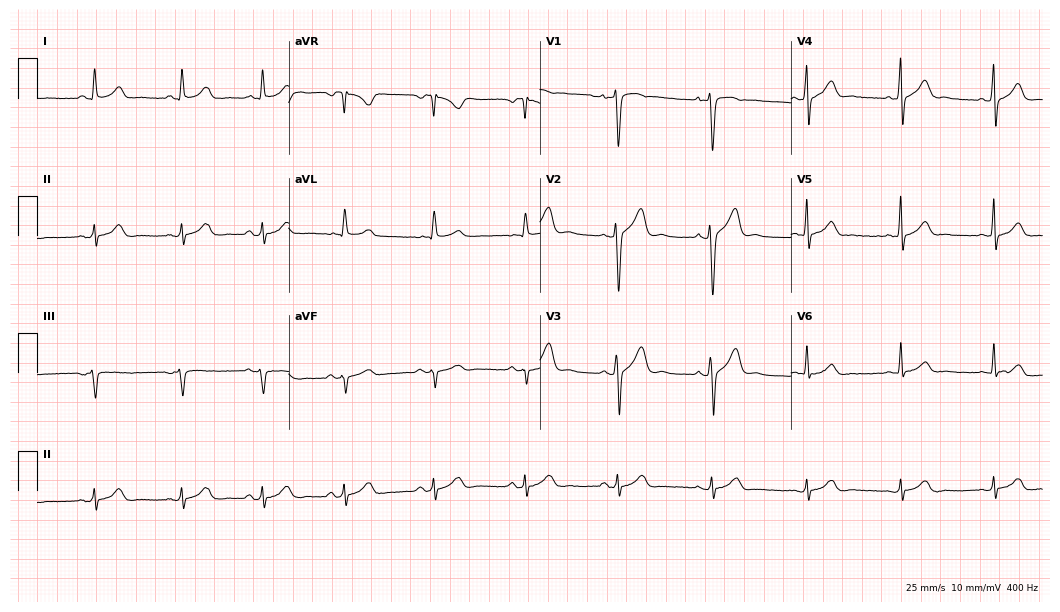
12-lead ECG (10.2-second recording at 400 Hz) from a woman, 42 years old. Screened for six findings — first-degree AV block, right bundle branch block, left bundle branch block, sinus bradycardia, atrial fibrillation, sinus tachycardia — none is recorded.